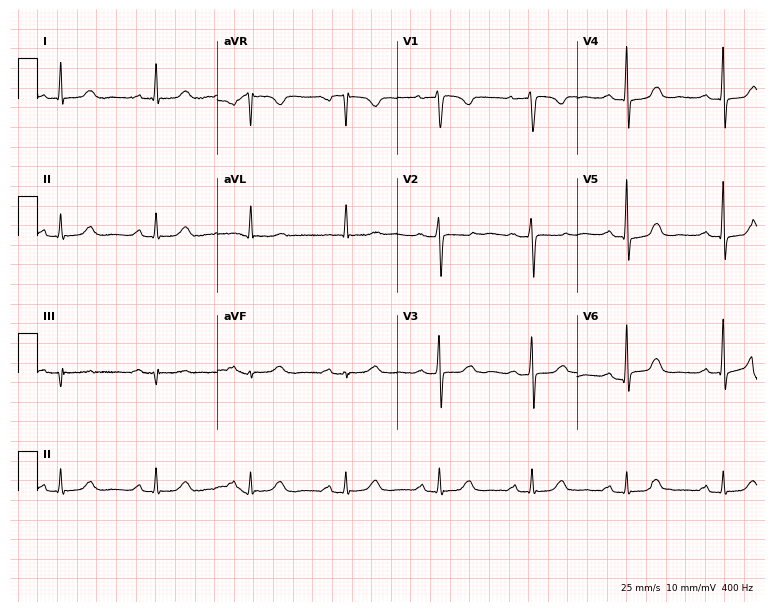
Electrocardiogram, a woman, 75 years old. Of the six screened findings (first-degree AV block, right bundle branch block (RBBB), left bundle branch block (LBBB), sinus bradycardia, atrial fibrillation (AF), sinus tachycardia), none is recorded. Findings outside these six are not listed.